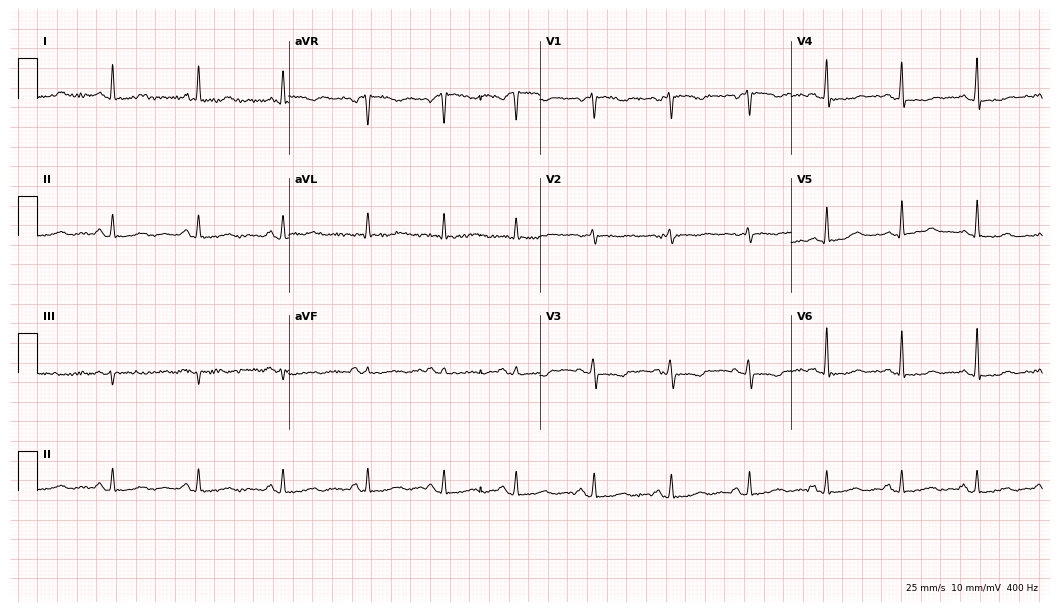
ECG — a female patient, 60 years old. Screened for six findings — first-degree AV block, right bundle branch block (RBBB), left bundle branch block (LBBB), sinus bradycardia, atrial fibrillation (AF), sinus tachycardia — none is recorded.